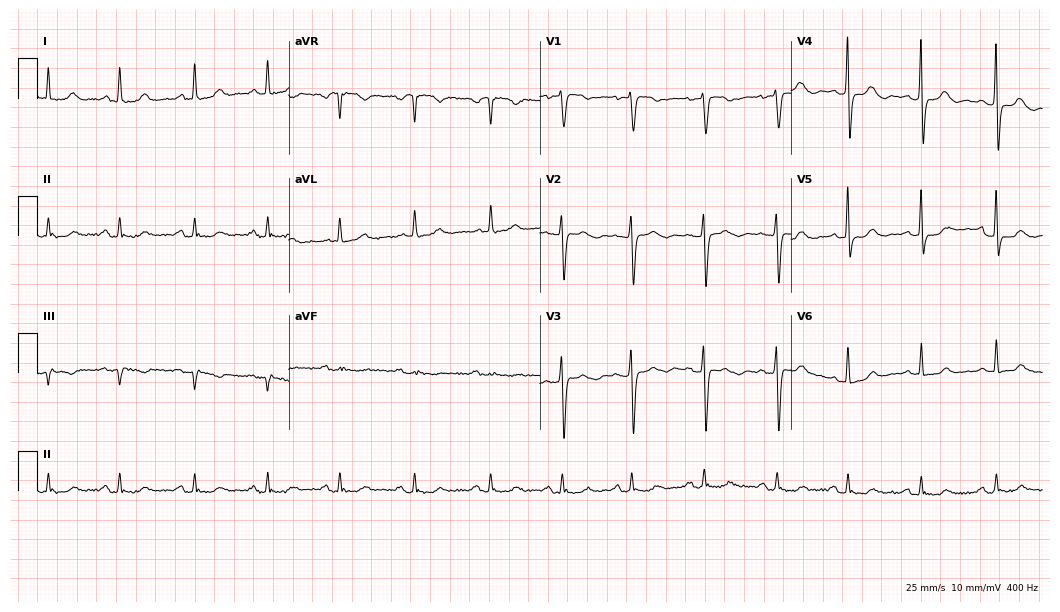
ECG — a 63-year-old woman. Screened for six findings — first-degree AV block, right bundle branch block, left bundle branch block, sinus bradycardia, atrial fibrillation, sinus tachycardia — none is recorded.